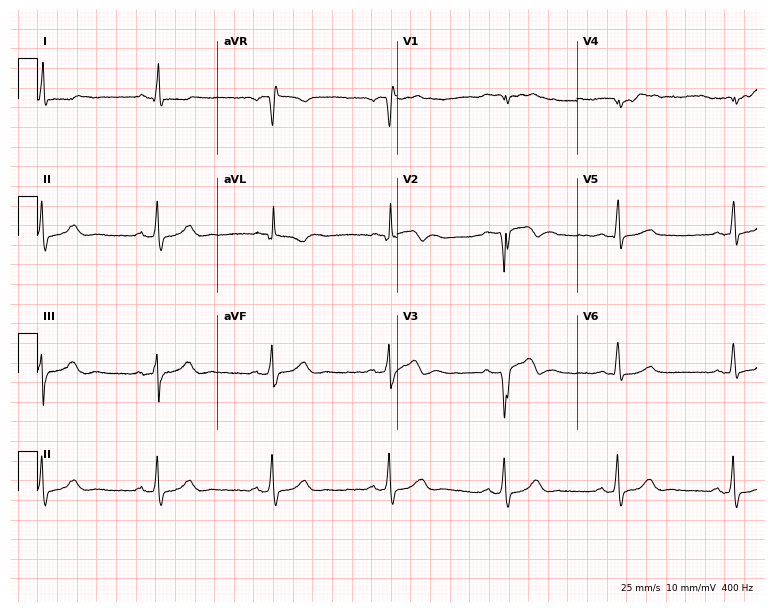
Resting 12-lead electrocardiogram. Patient: a male, 77 years old. None of these six findings is recorded: first-degree AV block, right bundle branch block, left bundle branch block, sinus bradycardia, atrial fibrillation, sinus tachycardia.